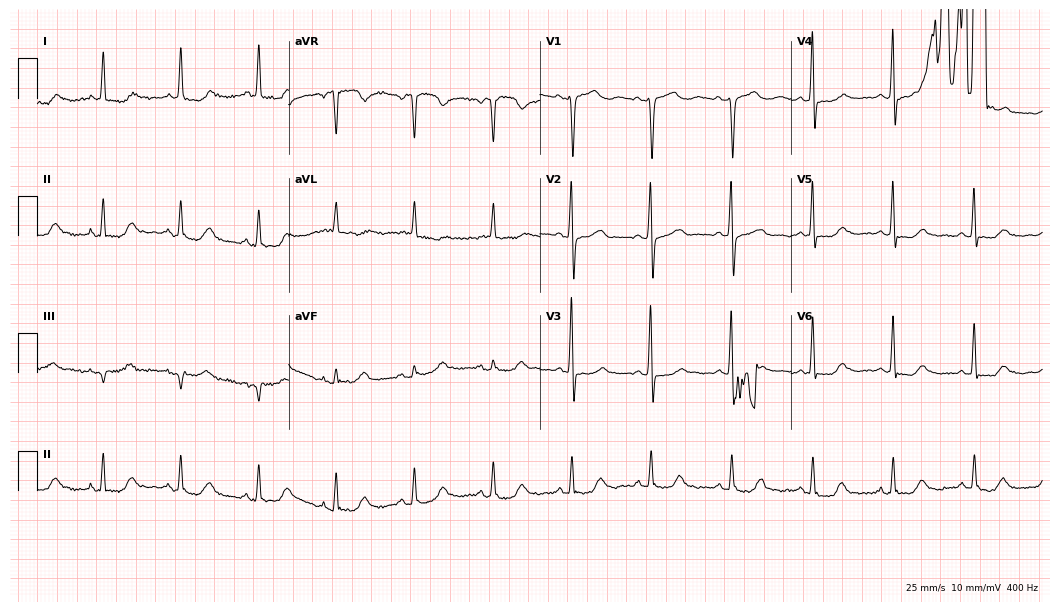
12-lead ECG from an 80-year-old female patient. No first-degree AV block, right bundle branch block (RBBB), left bundle branch block (LBBB), sinus bradycardia, atrial fibrillation (AF) or sinus tachycardia recorded for this tracing.